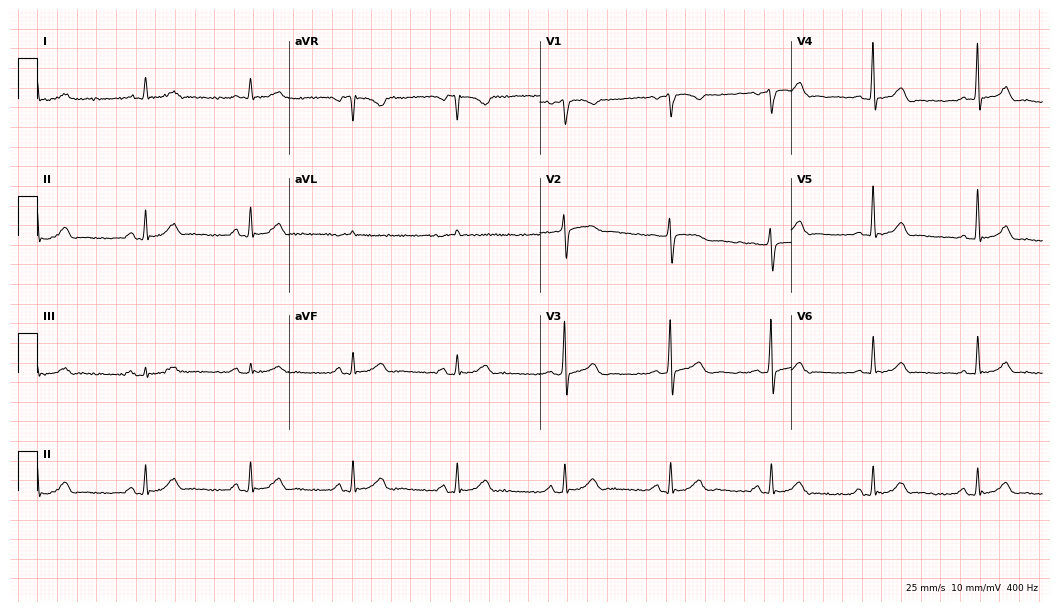
ECG — a 64-year-old female. Labelled as a normal ECG.